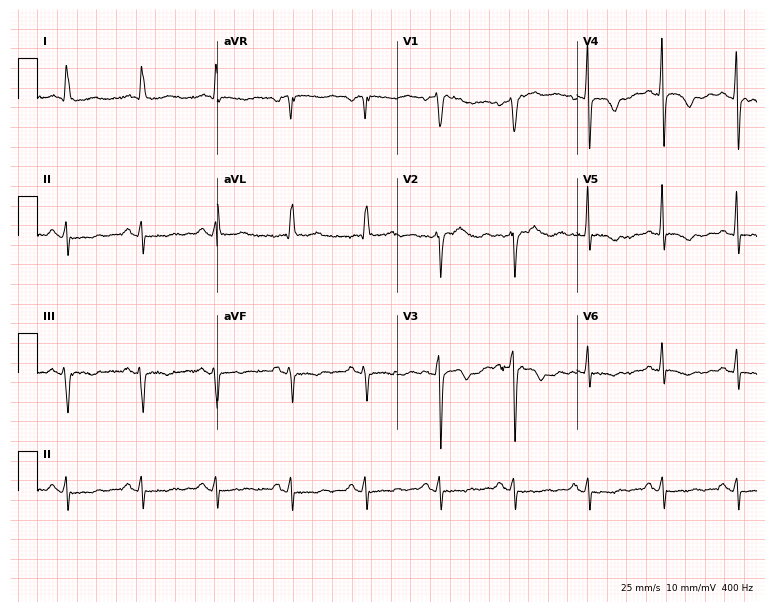
Standard 12-lead ECG recorded from a 74-year-old man (7.3-second recording at 400 Hz). None of these six findings is recorded: first-degree AV block, right bundle branch block, left bundle branch block, sinus bradycardia, atrial fibrillation, sinus tachycardia.